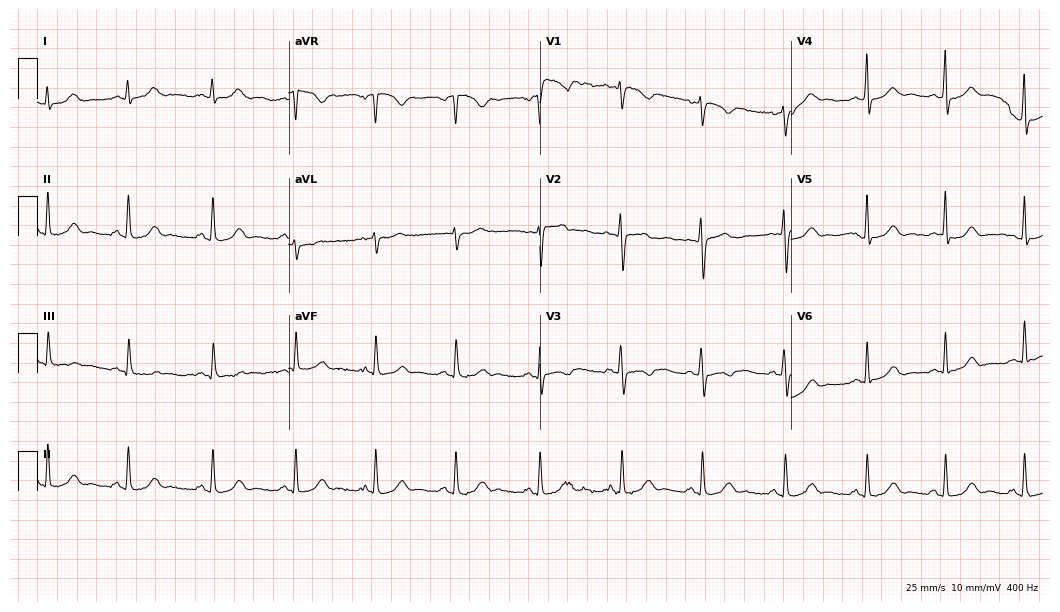
Resting 12-lead electrocardiogram (10.2-second recording at 400 Hz). Patient: a female, 20 years old. None of these six findings is recorded: first-degree AV block, right bundle branch block, left bundle branch block, sinus bradycardia, atrial fibrillation, sinus tachycardia. Findings outside these six are not listed.